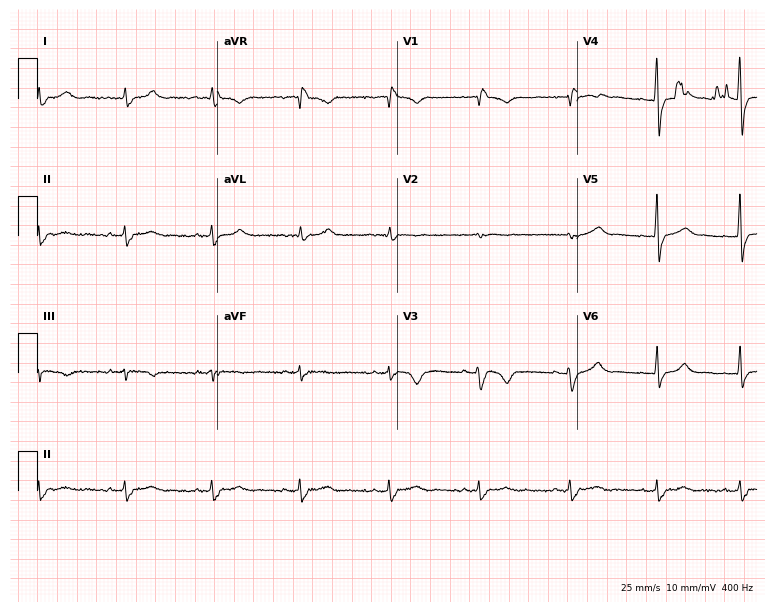
Electrocardiogram (7.3-second recording at 400 Hz), a 40-year-old female patient. Interpretation includes right bundle branch block.